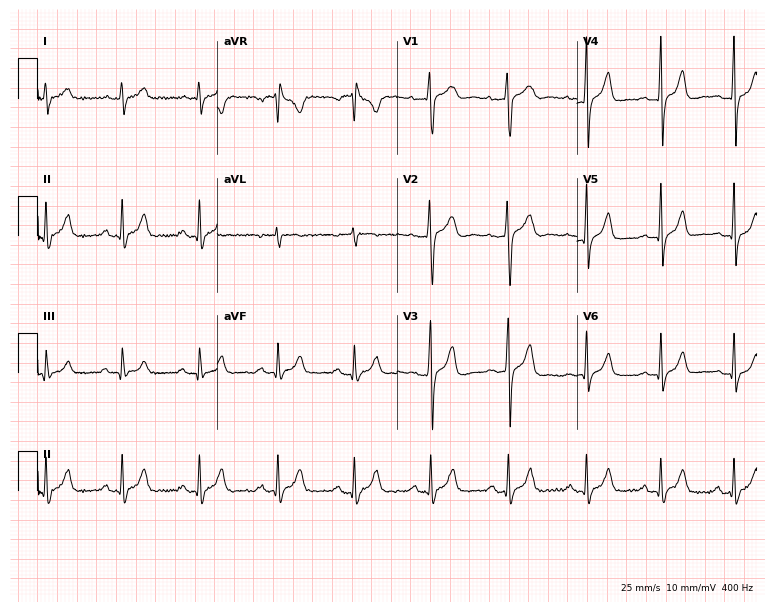
ECG — a man, 19 years old. Screened for six findings — first-degree AV block, right bundle branch block (RBBB), left bundle branch block (LBBB), sinus bradycardia, atrial fibrillation (AF), sinus tachycardia — none is recorded.